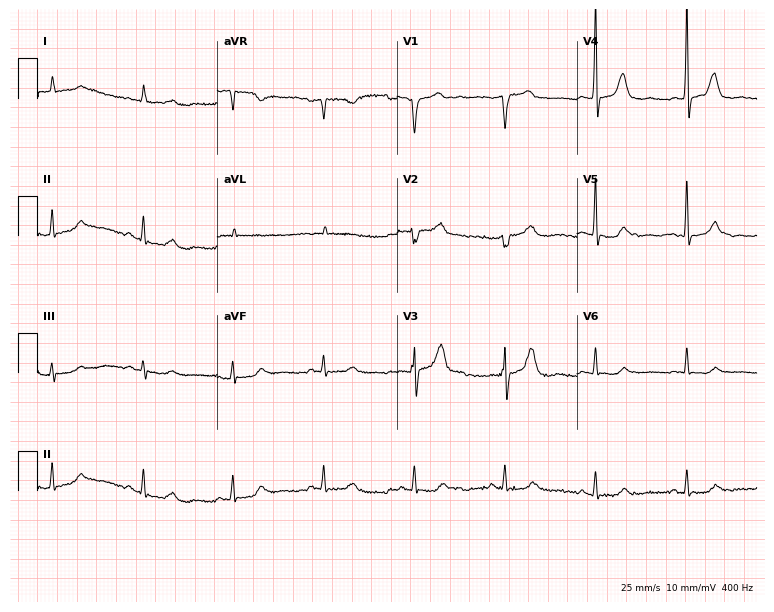
Resting 12-lead electrocardiogram. Patient: an 82-year-old man. None of these six findings is recorded: first-degree AV block, right bundle branch block, left bundle branch block, sinus bradycardia, atrial fibrillation, sinus tachycardia.